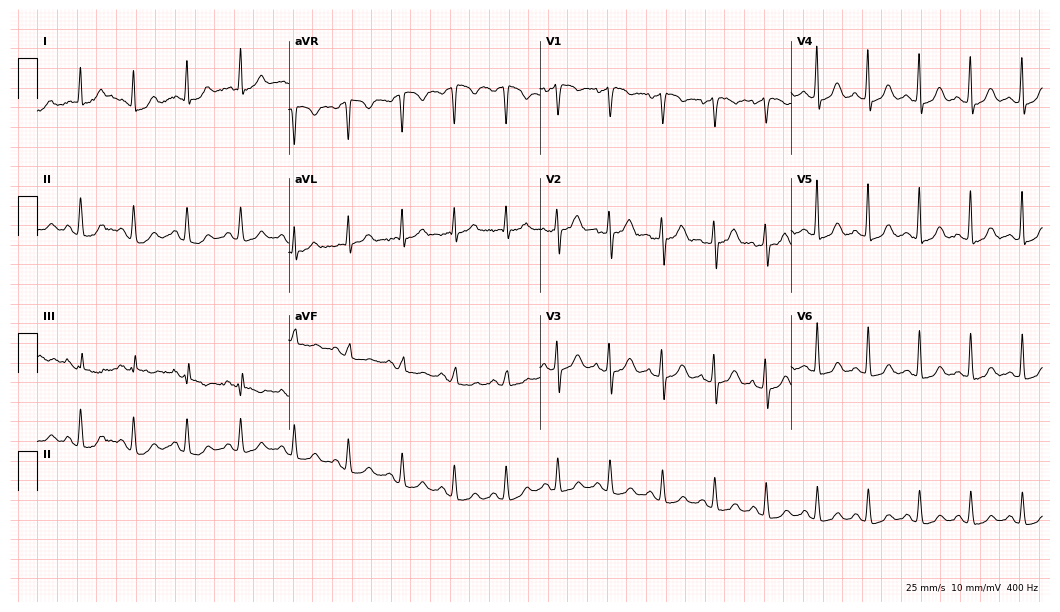
12-lead ECG (10.2-second recording at 400 Hz) from a 64-year-old female. Screened for six findings — first-degree AV block, right bundle branch block, left bundle branch block, sinus bradycardia, atrial fibrillation, sinus tachycardia — none is recorded. Other findings, if any, are not listed.